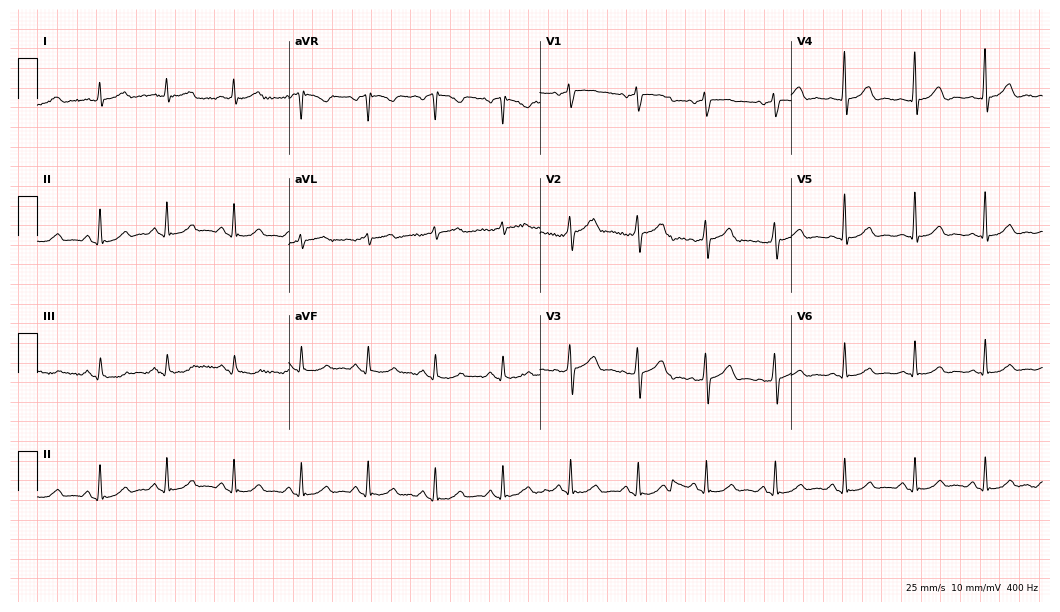
ECG (10.2-second recording at 400 Hz) — a female patient, 60 years old. Labelled as a normal ECG.